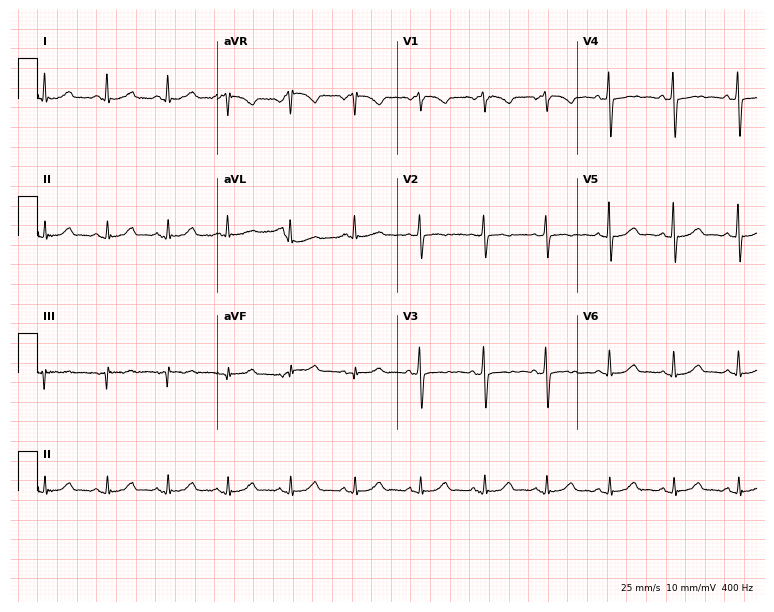
Electrocardiogram (7.3-second recording at 400 Hz), a female patient, 73 years old. Of the six screened findings (first-degree AV block, right bundle branch block, left bundle branch block, sinus bradycardia, atrial fibrillation, sinus tachycardia), none is recorded. Findings outside these six are not listed.